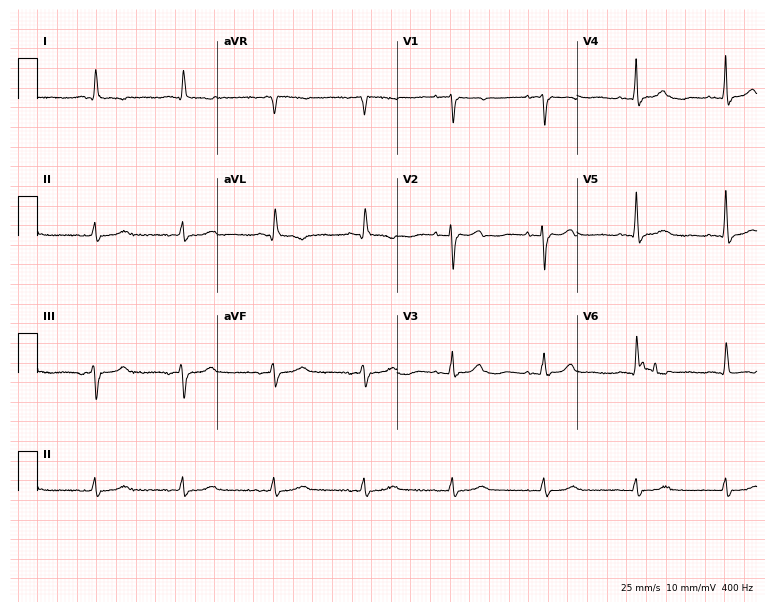
12-lead ECG from a 73-year-old woman. Screened for six findings — first-degree AV block, right bundle branch block (RBBB), left bundle branch block (LBBB), sinus bradycardia, atrial fibrillation (AF), sinus tachycardia — none is recorded.